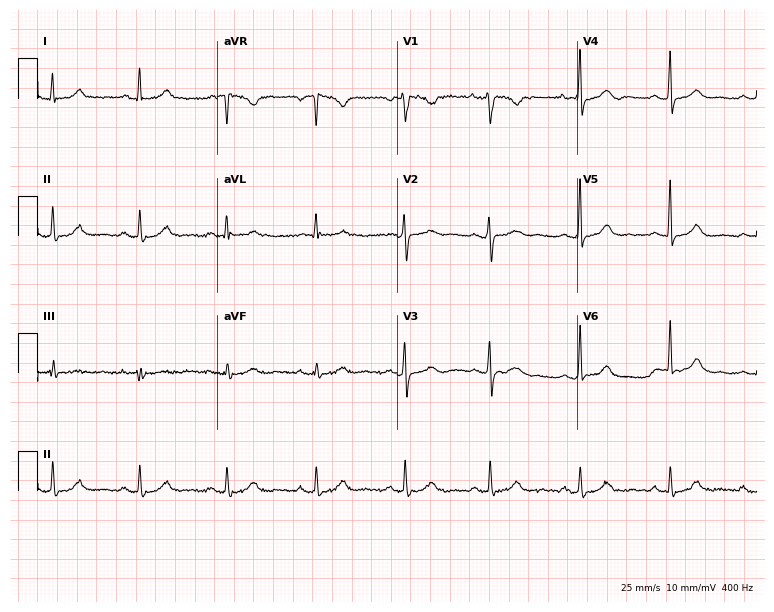
Electrocardiogram, a female, 38 years old. Of the six screened findings (first-degree AV block, right bundle branch block (RBBB), left bundle branch block (LBBB), sinus bradycardia, atrial fibrillation (AF), sinus tachycardia), none is recorded. Other findings, if any, are not listed.